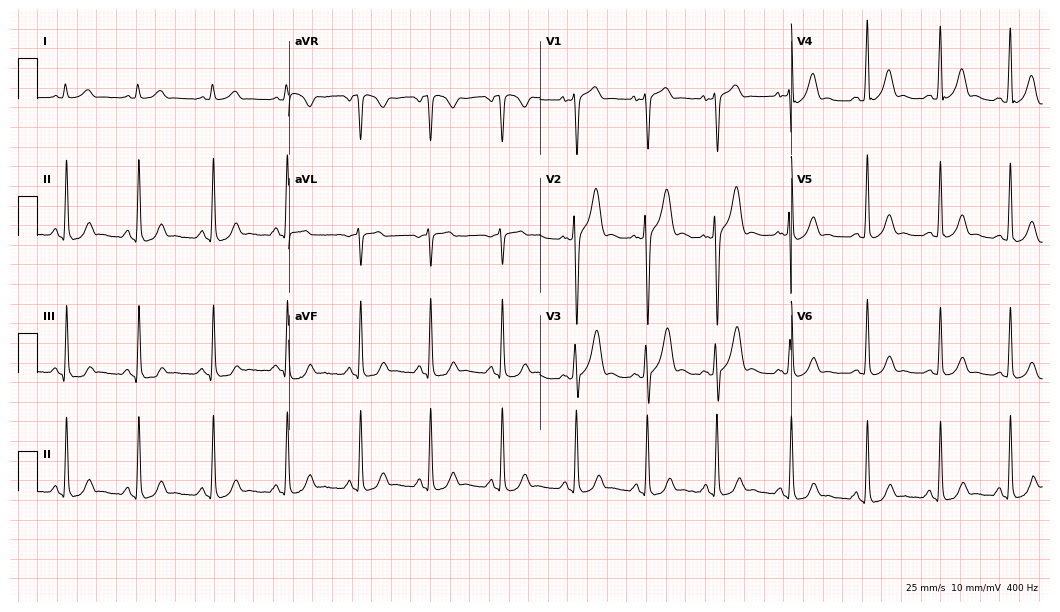
ECG — a 29-year-old male patient. Labelled as a normal ECG.